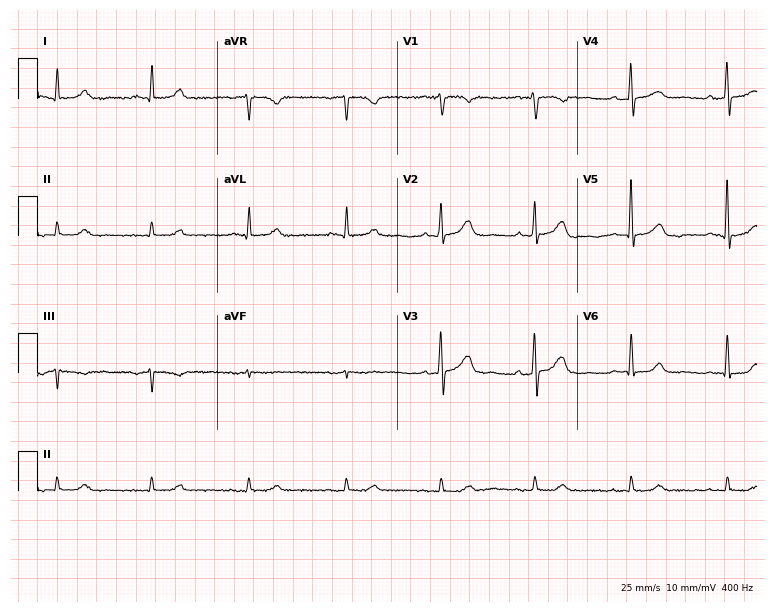
Standard 12-lead ECG recorded from a man, 68 years old (7.3-second recording at 400 Hz). None of these six findings is recorded: first-degree AV block, right bundle branch block, left bundle branch block, sinus bradycardia, atrial fibrillation, sinus tachycardia.